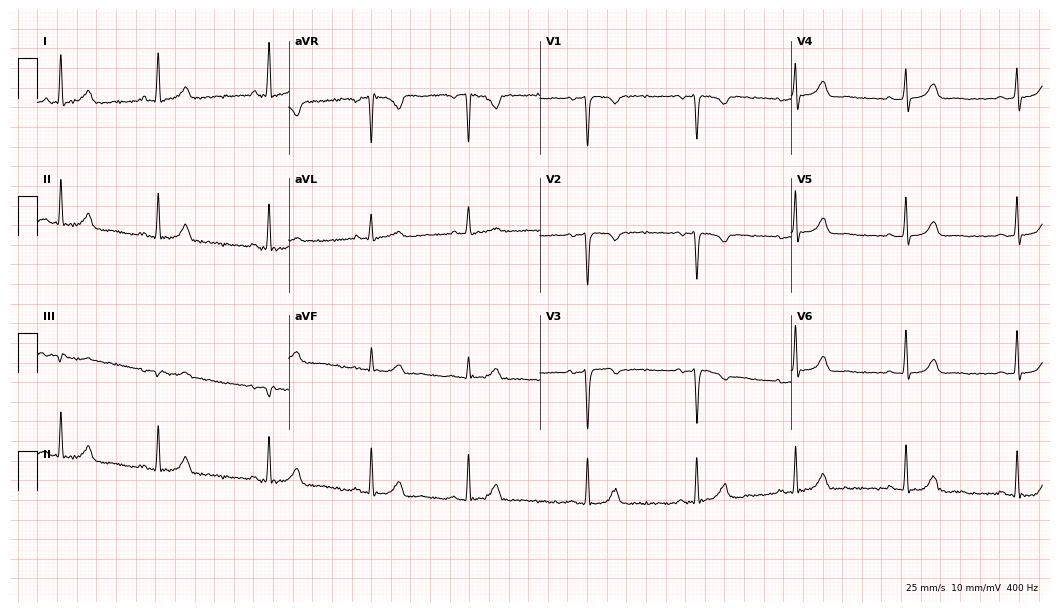
Electrocardiogram (10.2-second recording at 400 Hz), a female, 41 years old. Overall reading on record: normal ECG.